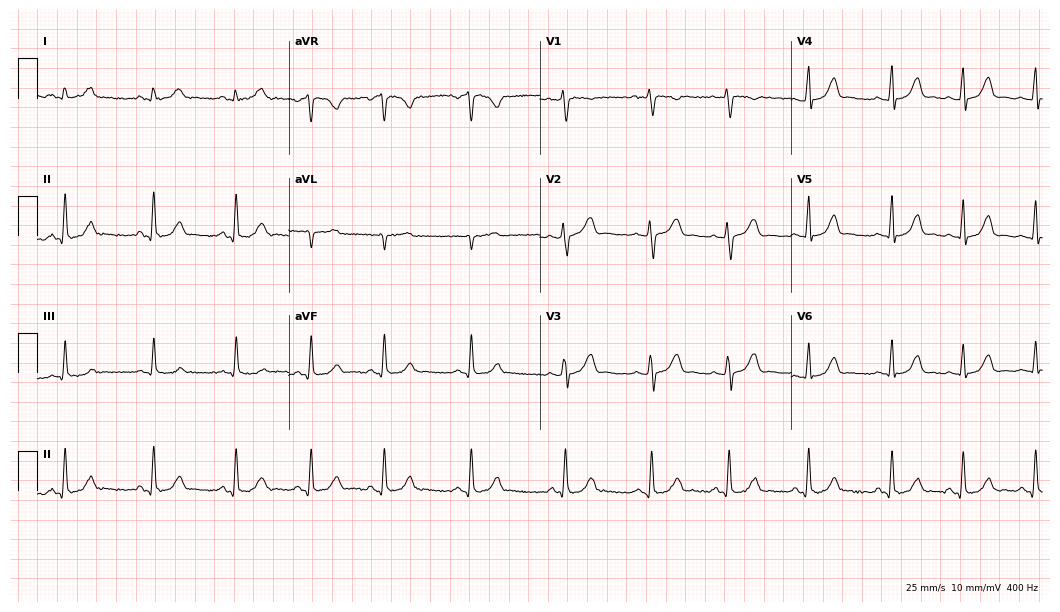
12-lead ECG from a 27-year-old woman. Labelled as a normal ECG.